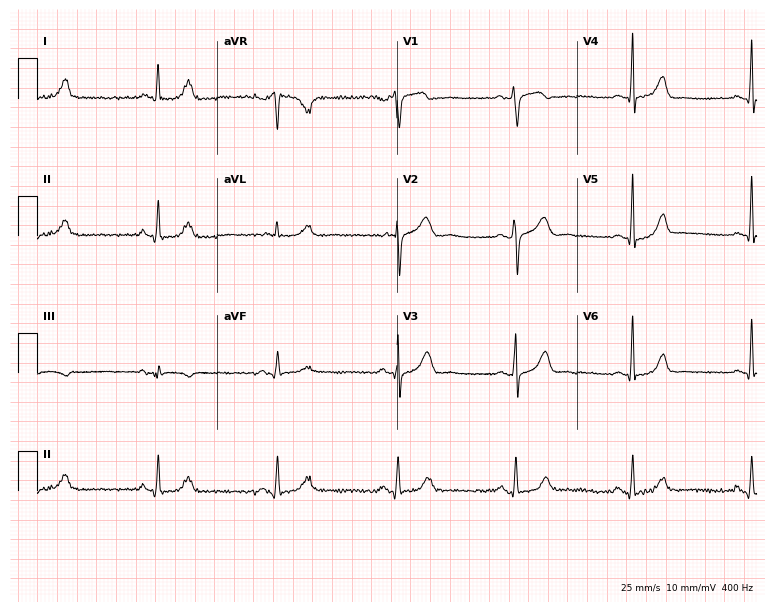
Electrocardiogram, a male, 53 years old. Interpretation includes sinus bradycardia (a sinus rate of 50 beats per minute or less).